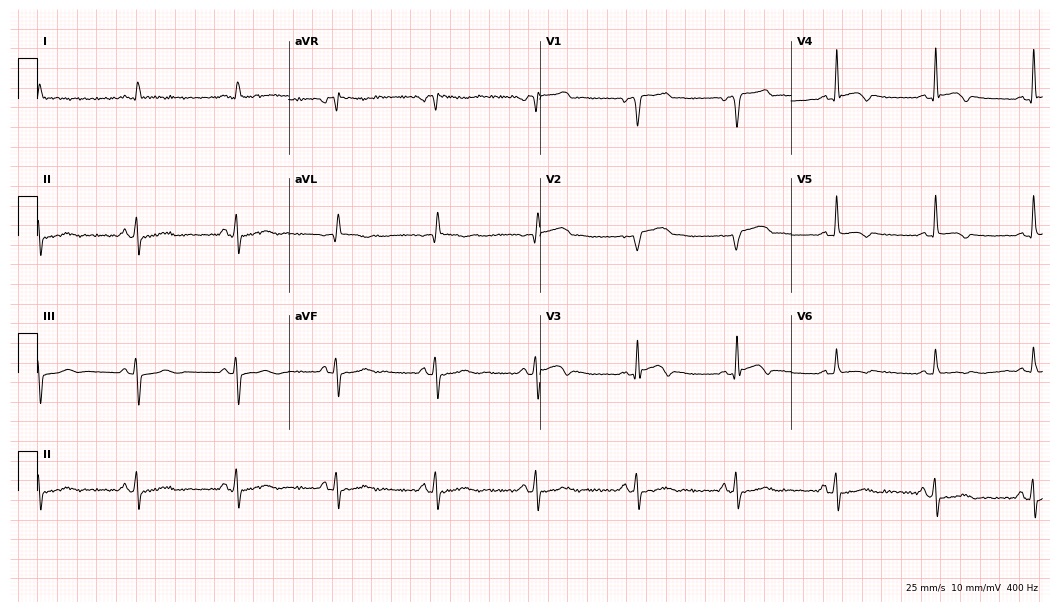
Standard 12-lead ECG recorded from a 45-year-old male patient. None of these six findings is recorded: first-degree AV block, right bundle branch block (RBBB), left bundle branch block (LBBB), sinus bradycardia, atrial fibrillation (AF), sinus tachycardia. Findings outside these six are not listed.